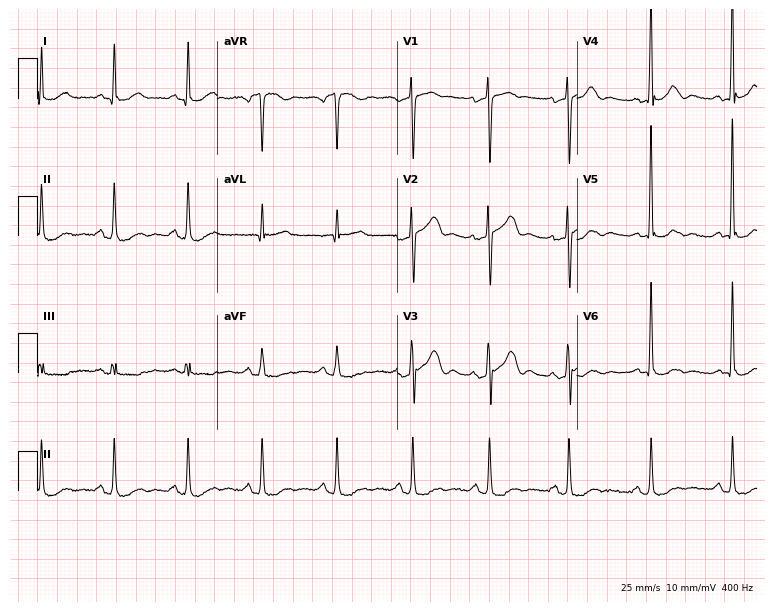
12-lead ECG from a male, 64 years old. Screened for six findings — first-degree AV block, right bundle branch block, left bundle branch block, sinus bradycardia, atrial fibrillation, sinus tachycardia — none is recorded.